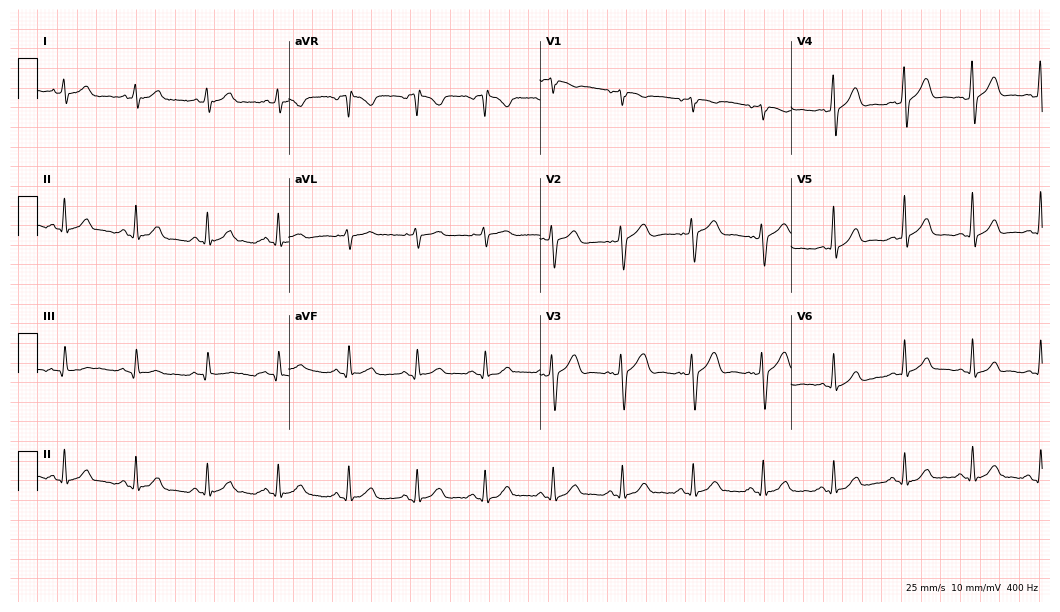
12-lead ECG from a 42-year-old man. Labelled as a normal ECG.